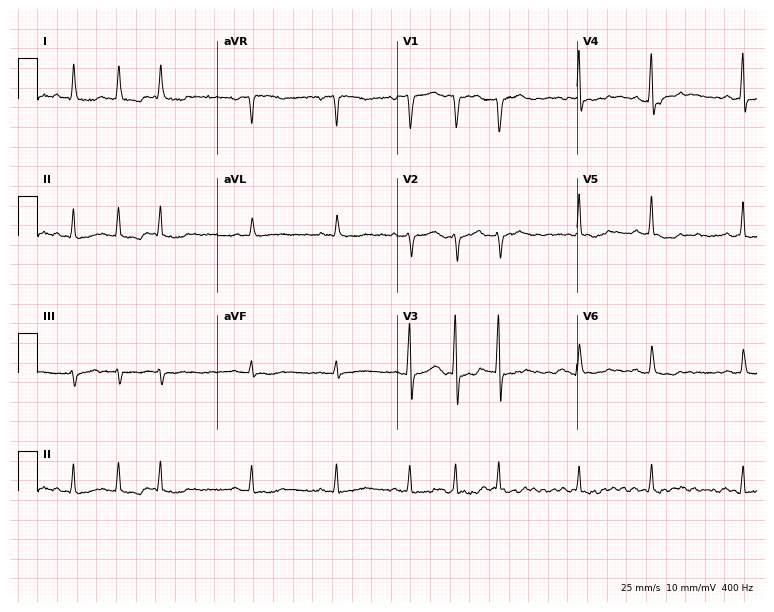
Standard 12-lead ECG recorded from an 85-year-old male patient. None of these six findings is recorded: first-degree AV block, right bundle branch block (RBBB), left bundle branch block (LBBB), sinus bradycardia, atrial fibrillation (AF), sinus tachycardia.